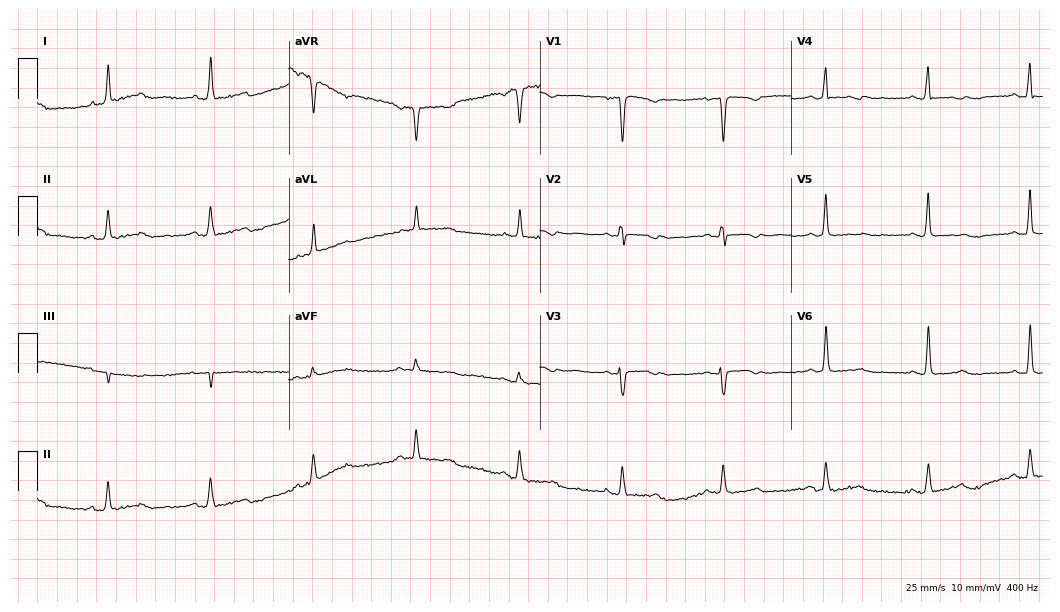
Resting 12-lead electrocardiogram (10.2-second recording at 400 Hz). Patient: a female, 70 years old. None of these six findings is recorded: first-degree AV block, right bundle branch block, left bundle branch block, sinus bradycardia, atrial fibrillation, sinus tachycardia. Findings outside these six are not listed.